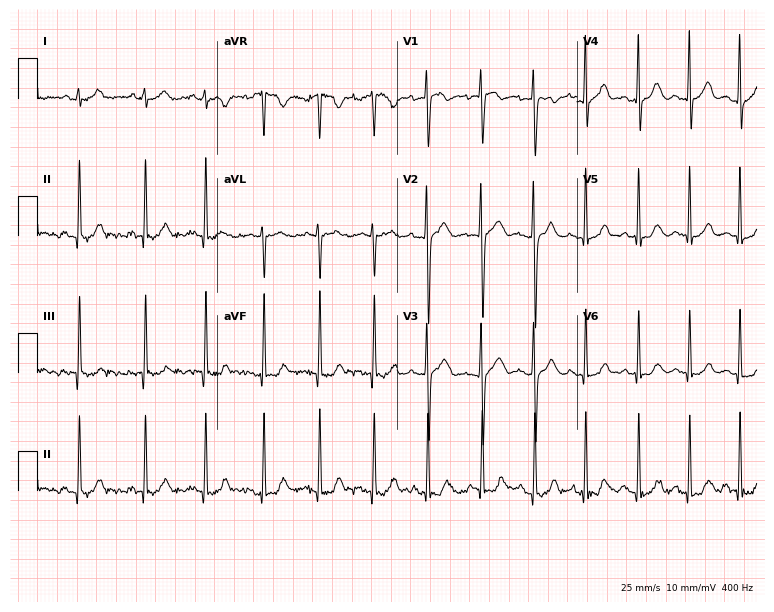
12-lead ECG from a 29-year-old female patient. Findings include sinus tachycardia (a sinus rate of 100 beats per minute or more).